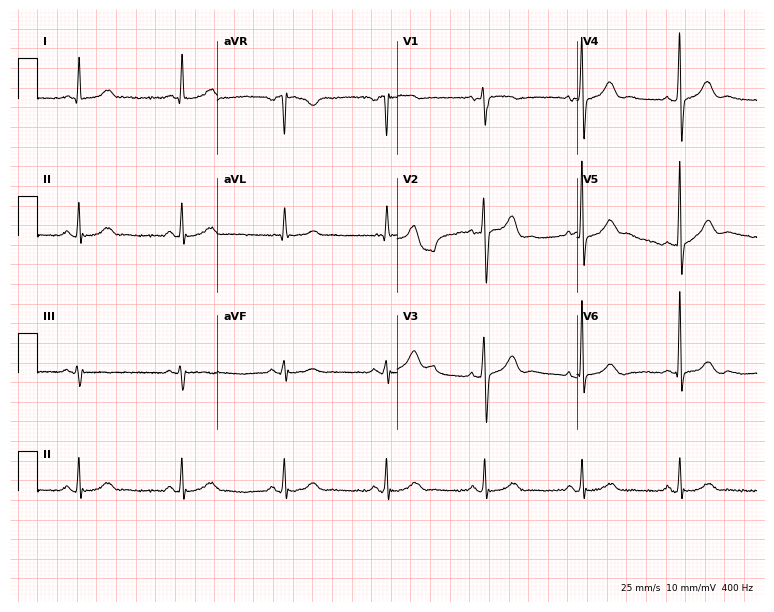
12-lead ECG from a man, 65 years old. No first-degree AV block, right bundle branch block, left bundle branch block, sinus bradycardia, atrial fibrillation or sinus tachycardia recorded for this tracing.